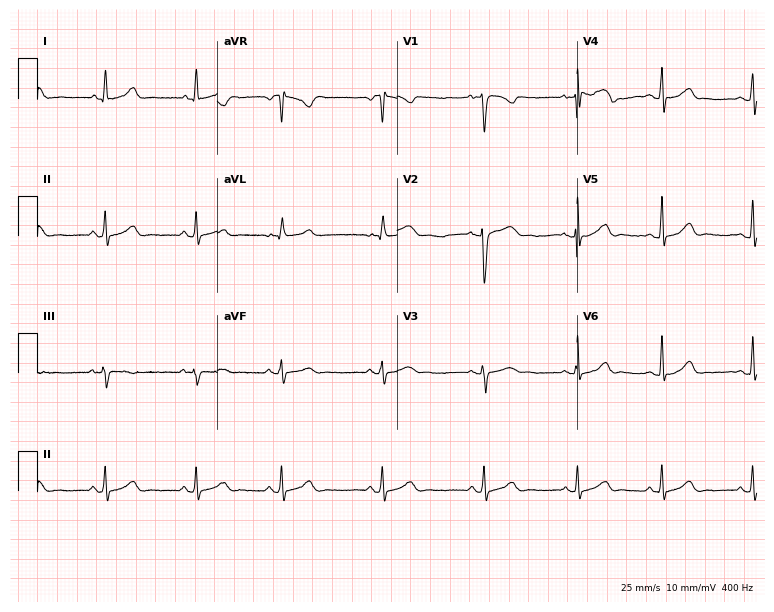
Resting 12-lead electrocardiogram (7.3-second recording at 400 Hz). Patient: a female, 30 years old. Read as a normal ECG.